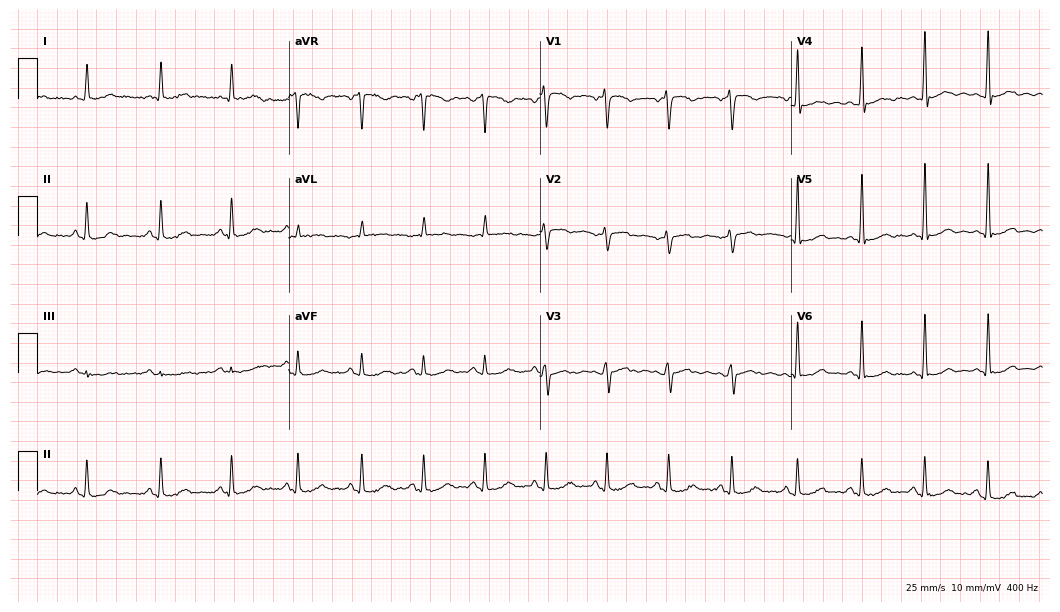
ECG (10.2-second recording at 400 Hz) — a woman, 47 years old. Screened for six findings — first-degree AV block, right bundle branch block (RBBB), left bundle branch block (LBBB), sinus bradycardia, atrial fibrillation (AF), sinus tachycardia — none is recorded.